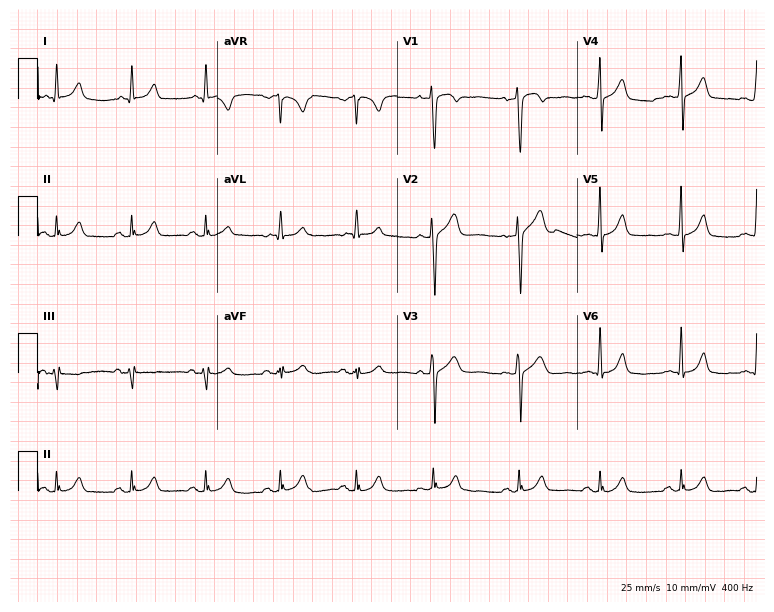
12-lead ECG (7.3-second recording at 400 Hz) from a 62-year-old male patient. Screened for six findings — first-degree AV block, right bundle branch block, left bundle branch block, sinus bradycardia, atrial fibrillation, sinus tachycardia — none is recorded. Other findings, if any, are not listed.